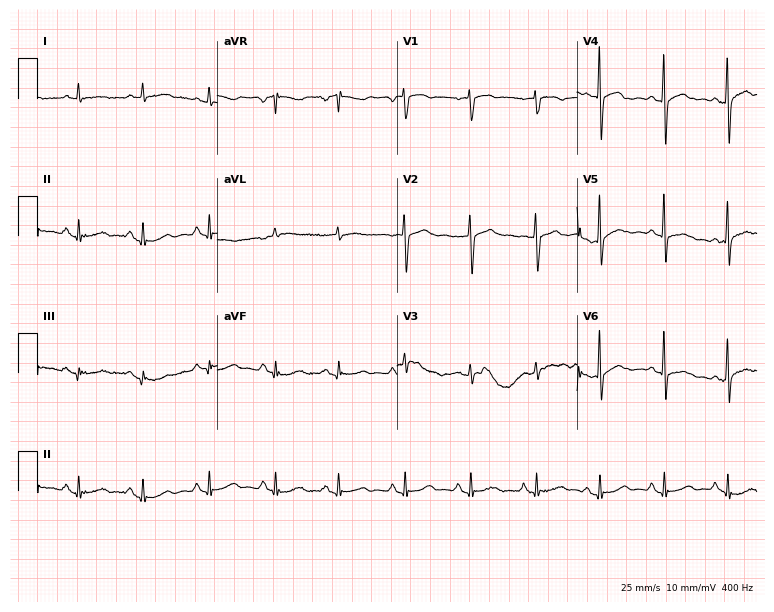
Standard 12-lead ECG recorded from a female, 66 years old. None of these six findings is recorded: first-degree AV block, right bundle branch block, left bundle branch block, sinus bradycardia, atrial fibrillation, sinus tachycardia.